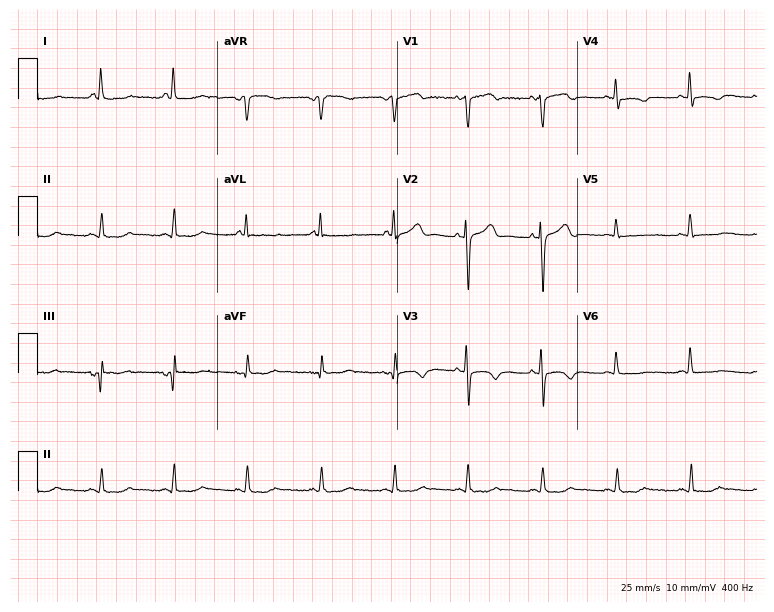
12-lead ECG (7.3-second recording at 400 Hz) from a woman, 61 years old. Screened for six findings — first-degree AV block, right bundle branch block, left bundle branch block, sinus bradycardia, atrial fibrillation, sinus tachycardia — none is recorded. Other findings, if any, are not listed.